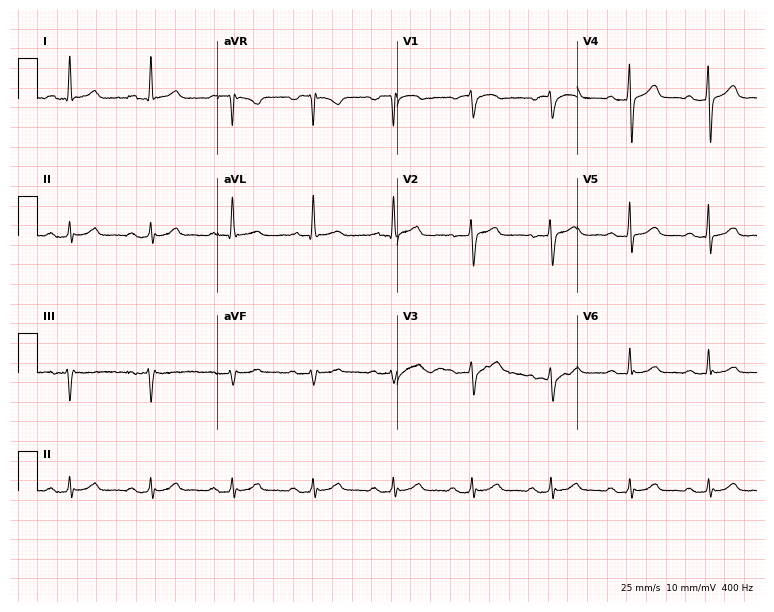
Standard 12-lead ECG recorded from a 57-year-old male patient (7.3-second recording at 400 Hz). Read as a normal ECG.